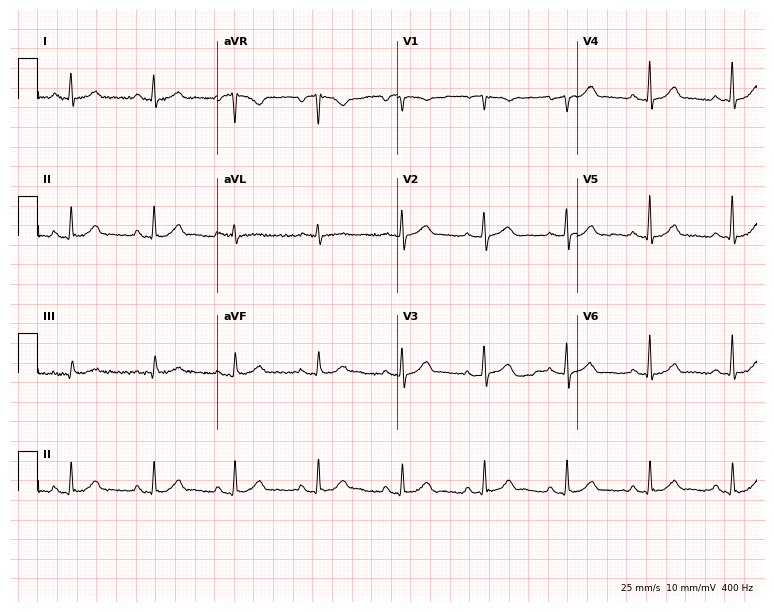
12-lead ECG from a 61-year-old man (7.3-second recording at 400 Hz). Recorded interpretation: within normal limits.